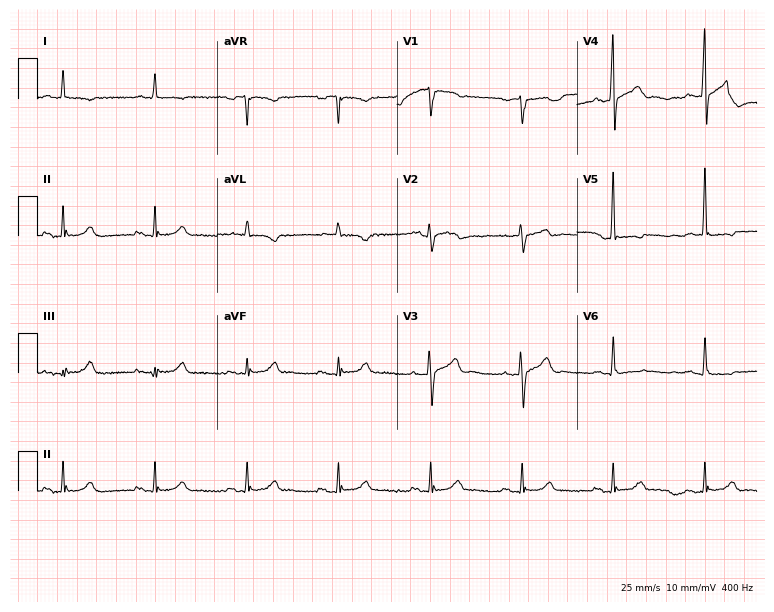
12-lead ECG from a man, 69 years old. Screened for six findings — first-degree AV block, right bundle branch block (RBBB), left bundle branch block (LBBB), sinus bradycardia, atrial fibrillation (AF), sinus tachycardia — none is recorded.